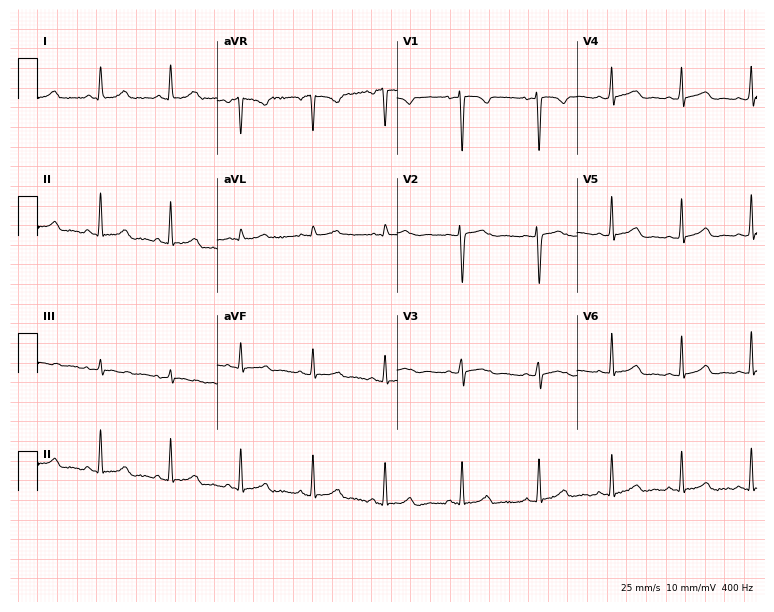
Electrocardiogram (7.3-second recording at 400 Hz), a woman, 25 years old. Of the six screened findings (first-degree AV block, right bundle branch block (RBBB), left bundle branch block (LBBB), sinus bradycardia, atrial fibrillation (AF), sinus tachycardia), none is recorded. Findings outside these six are not listed.